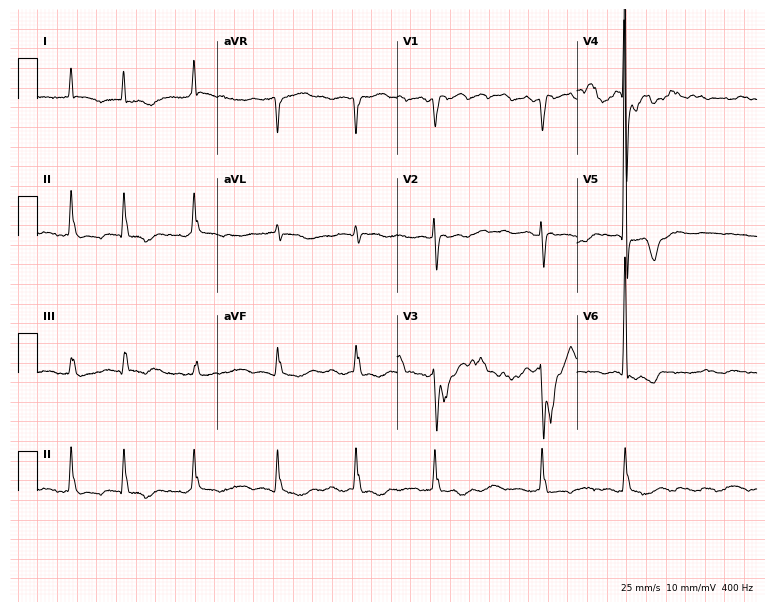
12-lead ECG from an 83-year-old female patient (7.3-second recording at 400 Hz). Shows atrial fibrillation (AF).